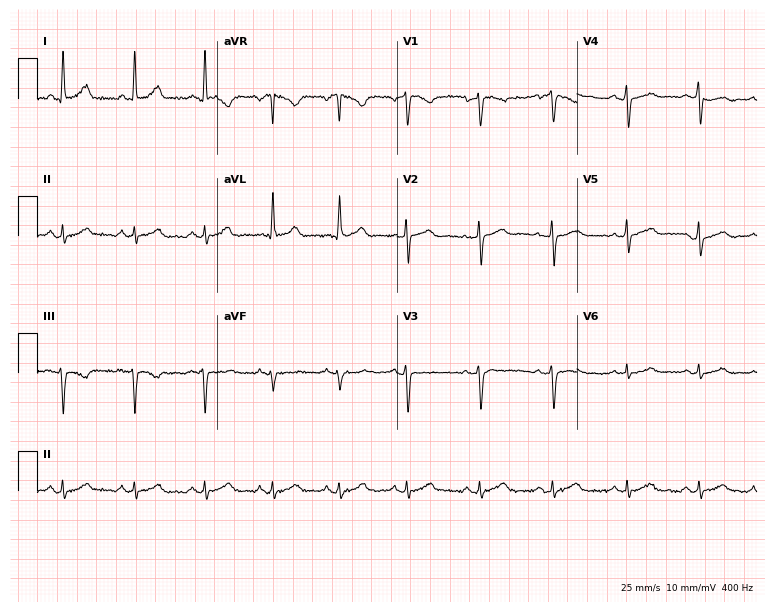
ECG — a 37-year-old woman. Labelled as a normal ECG.